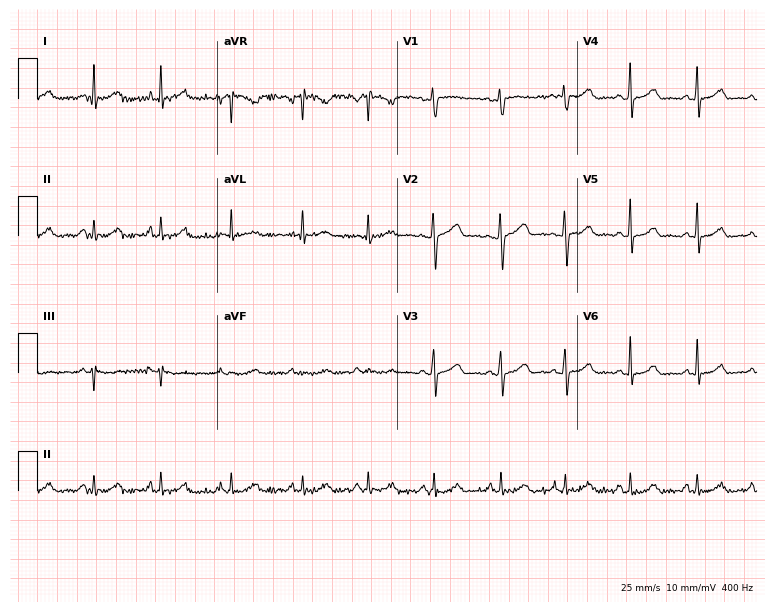
12-lead ECG from a female, 37 years old (7.3-second recording at 400 Hz). No first-degree AV block, right bundle branch block, left bundle branch block, sinus bradycardia, atrial fibrillation or sinus tachycardia recorded for this tracing. Other findings, if any, are not listed.